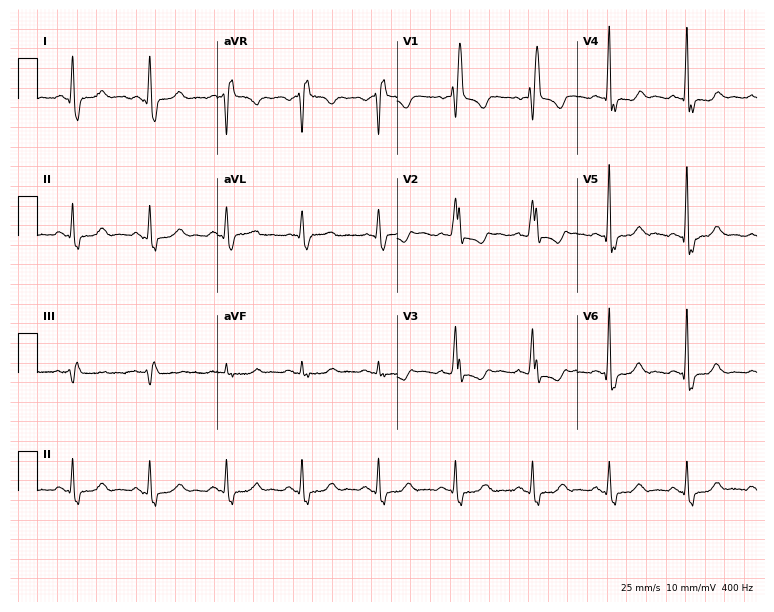
Resting 12-lead electrocardiogram (7.3-second recording at 400 Hz). Patient: a female, 54 years old. The tracing shows right bundle branch block.